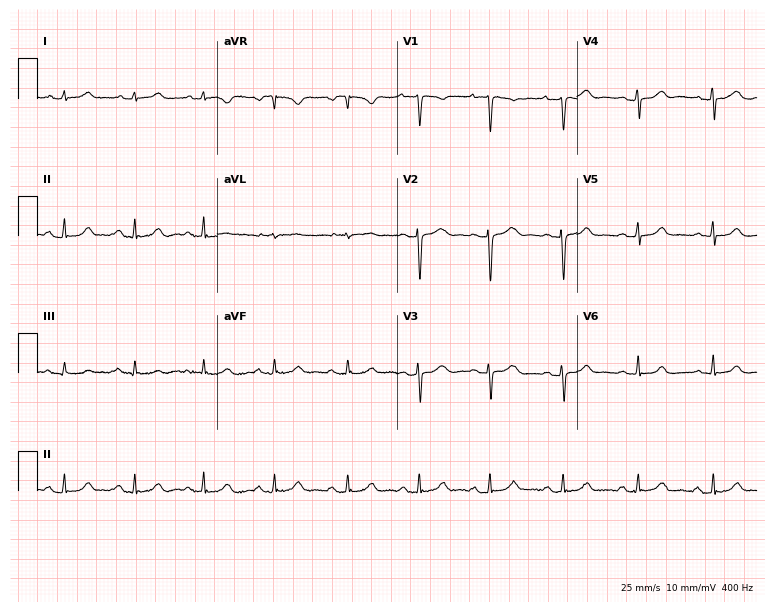
Standard 12-lead ECG recorded from a woman, 17 years old (7.3-second recording at 400 Hz). Read as a normal ECG.